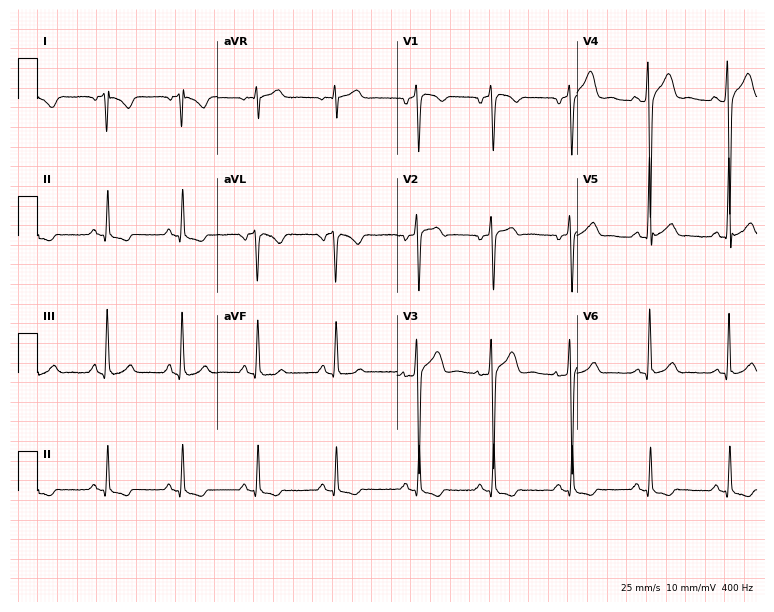
12-lead ECG from a 32-year-old male patient. Screened for six findings — first-degree AV block, right bundle branch block, left bundle branch block, sinus bradycardia, atrial fibrillation, sinus tachycardia — none is recorded.